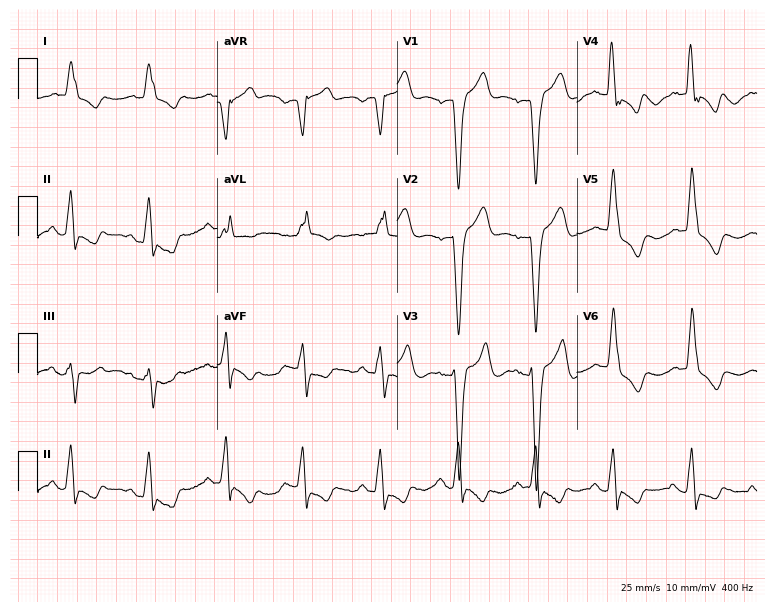
Standard 12-lead ECG recorded from a female patient, 78 years old. The tracing shows left bundle branch block.